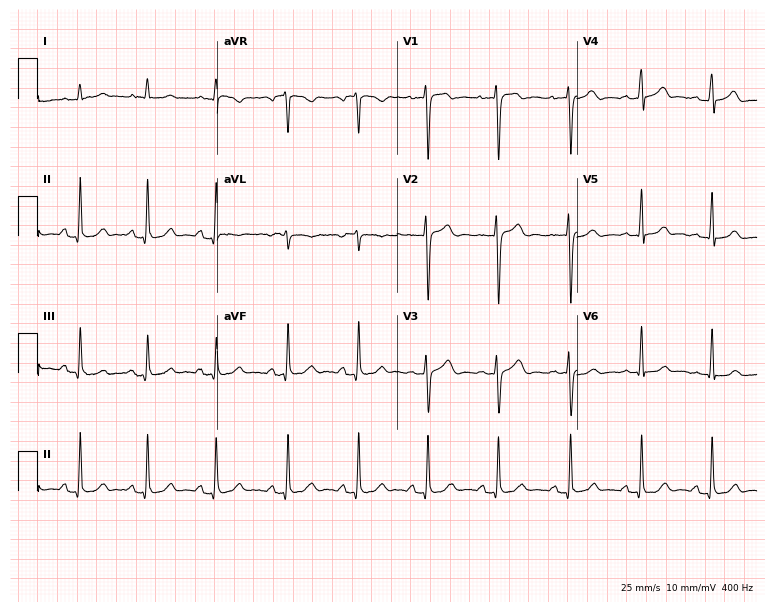
Standard 12-lead ECG recorded from a man, 43 years old (7.3-second recording at 400 Hz). Read as a normal ECG.